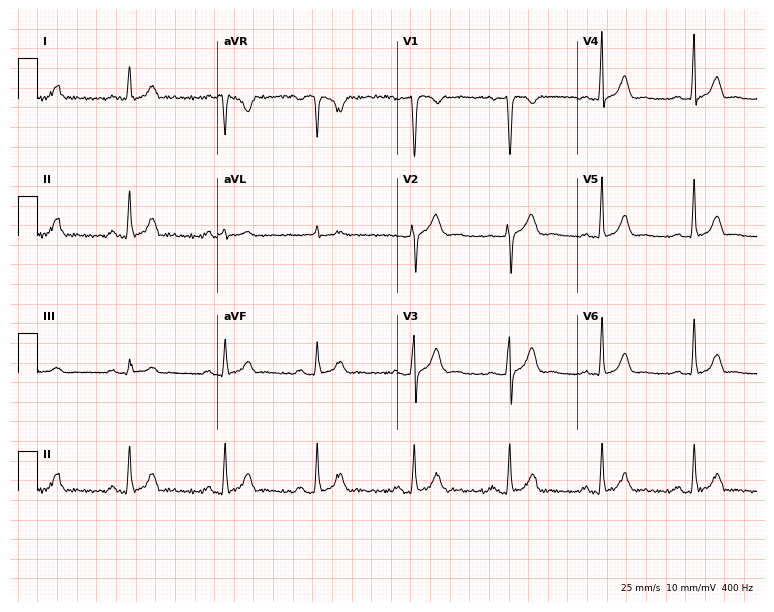
12-lead ECG from a male patient, 31 years old. Labelled as a normal ECG.